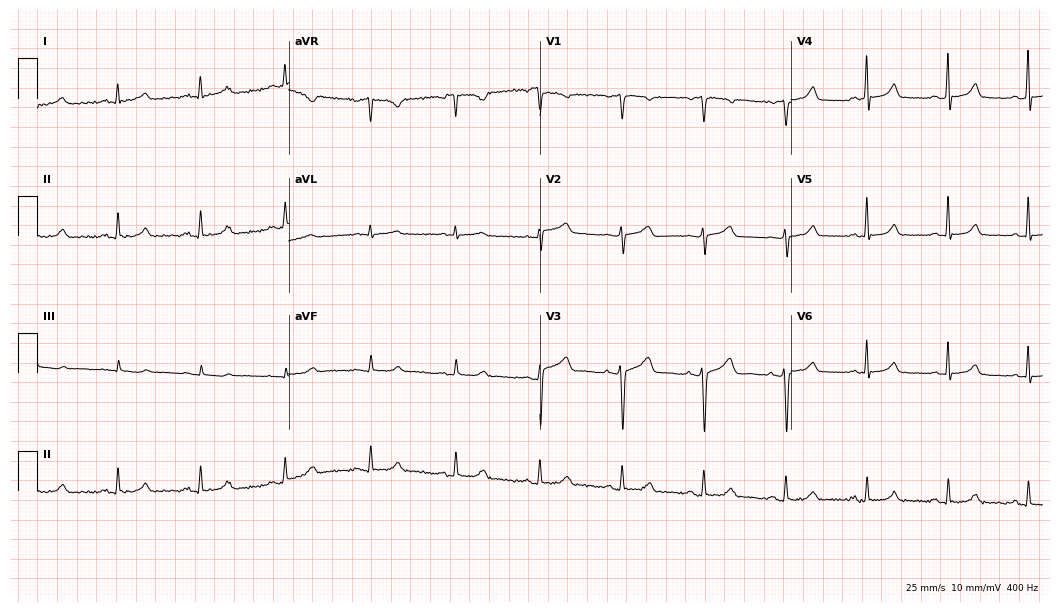
ECG (10.2-second recording at 400 Hz) — a 51-year-old female. Screened for six findings — first-degree AV block, right bundle branch block (RBBB), left bundle branch block (LBBB), sinus bradycardia, atrial fibrillation (AF), sinus tachycardia — none is recorded.